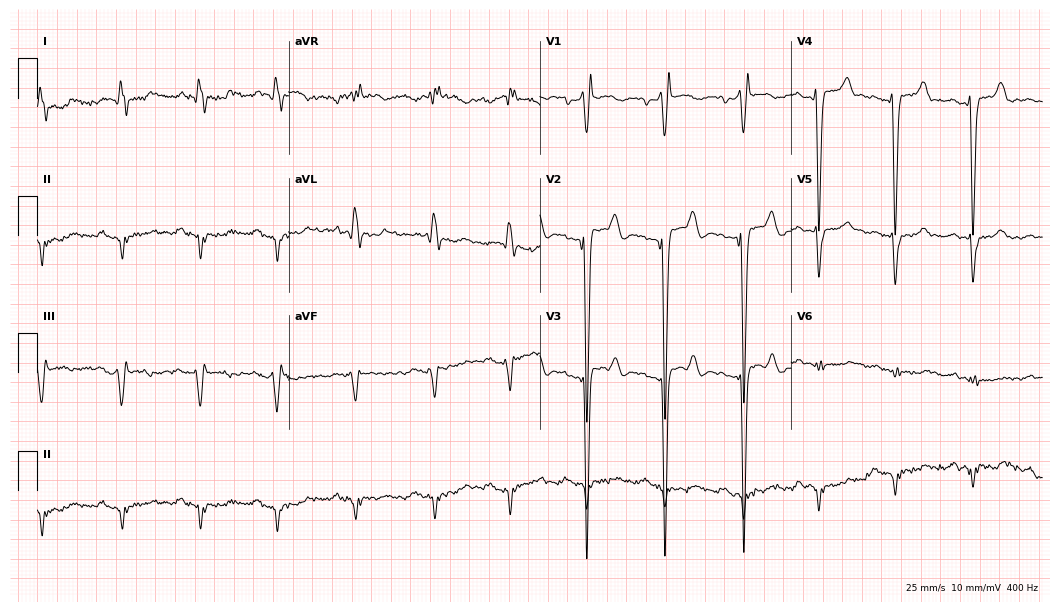
Electrocardiogram (10.2-second recording at 400 Hz), a male, 50 years old. Interpretation includes right bundle branch block (RBBB).